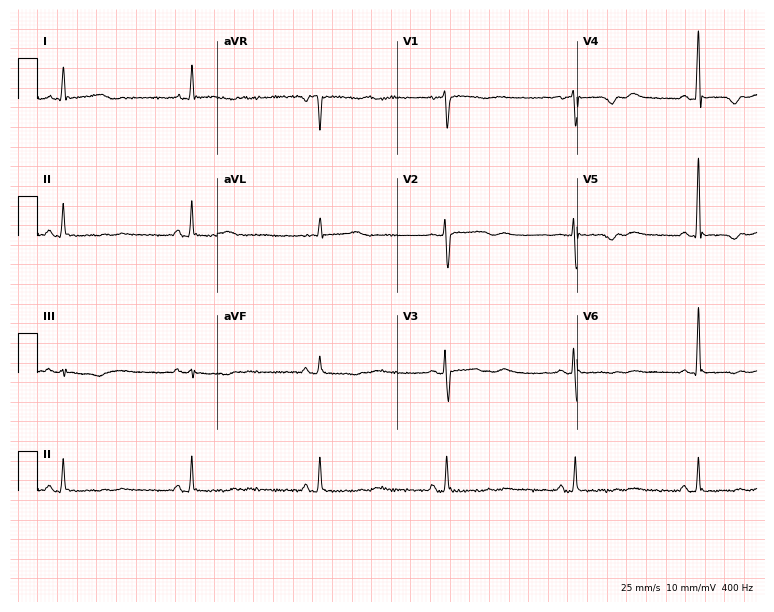
Electrocardiogram, a 67-year-old female patient. Of the six screened findings (first-degree AV block, right bundle branch block (RBBB), left bundle branch block (LBBB), sinus bradycardia, atrial fibrillation (AF), sinus tachycardia), none is recorded. Findings outside these six are not listed.